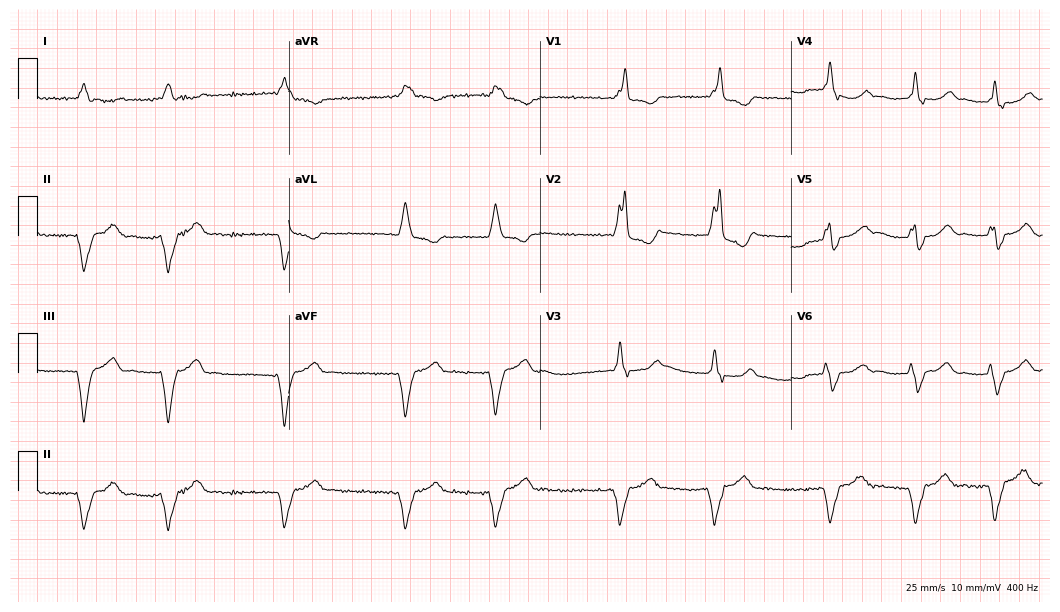
ECG (10.2-second recording at 400 Hz) — a male patient, 69 years old. Screened for six findings — first-degree AV block, right bundle branch block, left bundle branch block, sinus bradycardia, atrial fibrillation, sinus tachycardia — none is recorded.